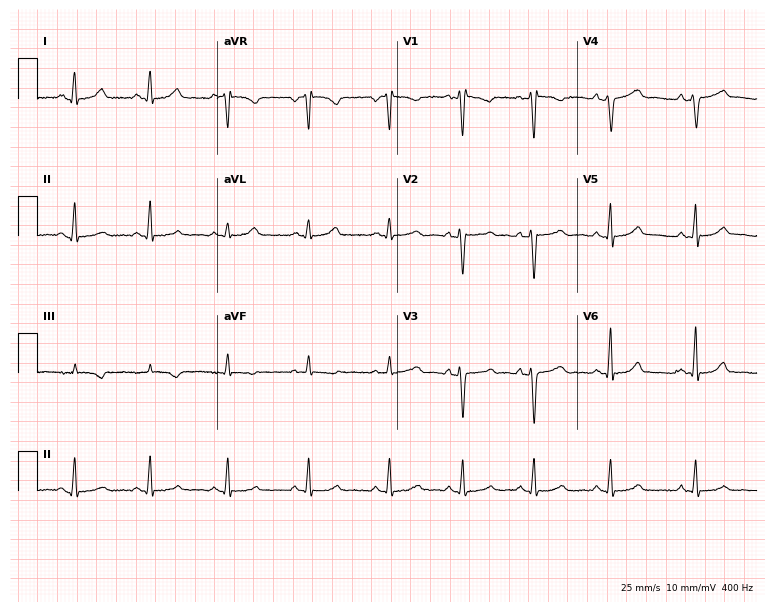
ECG — a 32-year-old female patient. Labelled as a normal ECG.